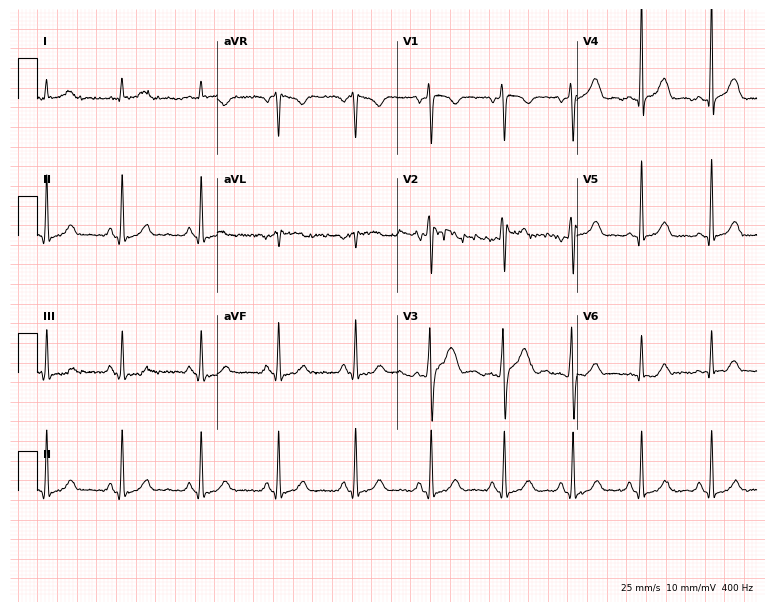
12-lead ECG from a 34-year-old male patient (7.3-second recording at 400 Hz). Recorded interpretation: within normal limits.